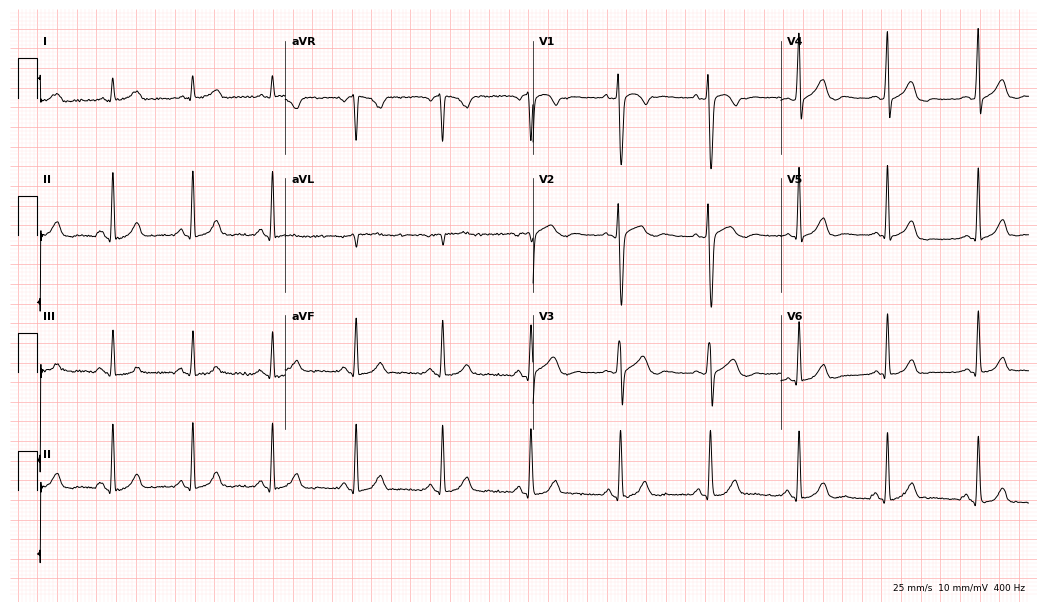
ECG — a woman, 55 years old. Labelled as a normal ECG.